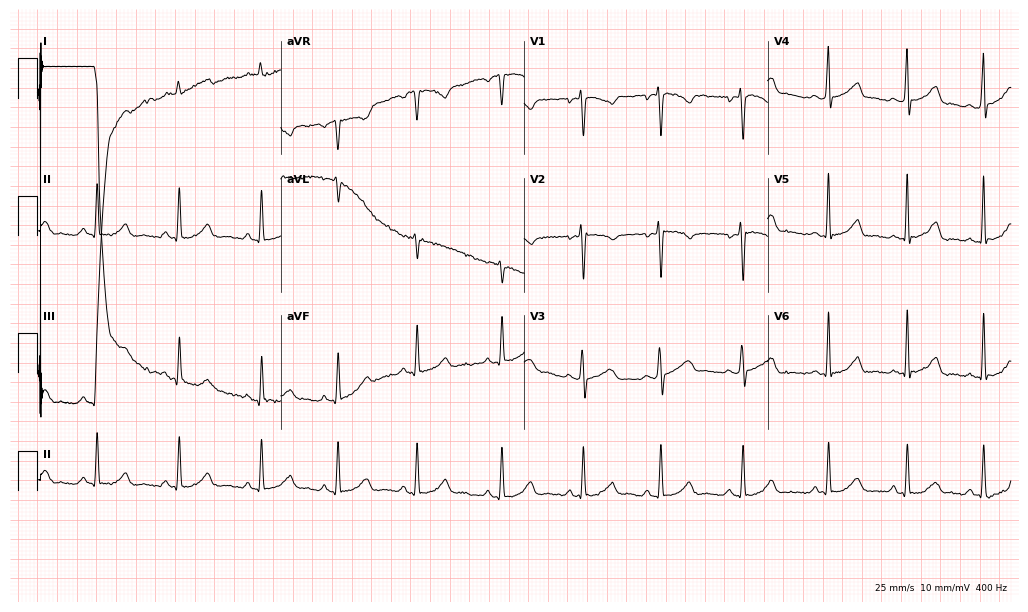
Standard 12-lead ECG recorded from a 37-year-old woman (9.9-second recording at 400 Hz). Read as a normal ECG.